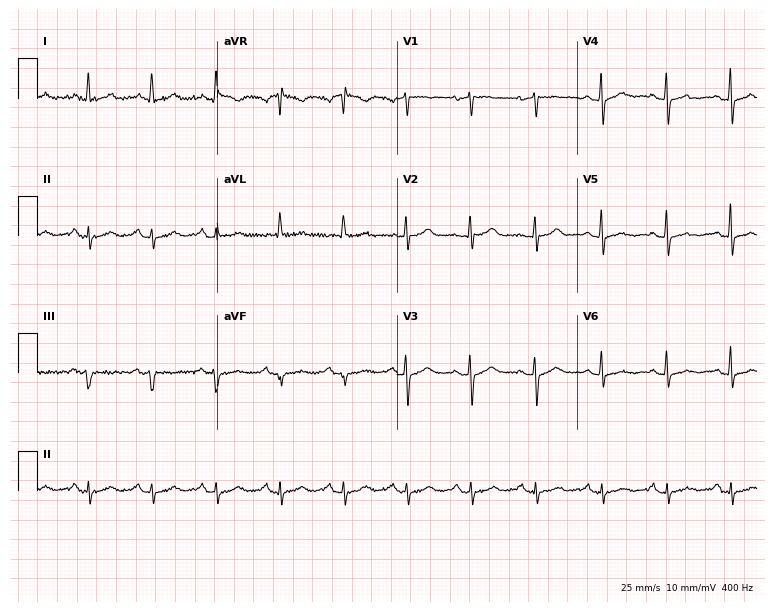
12-lead ECG from a female patient, 73 years old. No first-degree AV block, right bundle branch block (RBBB), left bundle branch block (LBBB), sinus bradycardia, atrial fibrillation (AF) or sinus tachycardia recorded for this tracing.